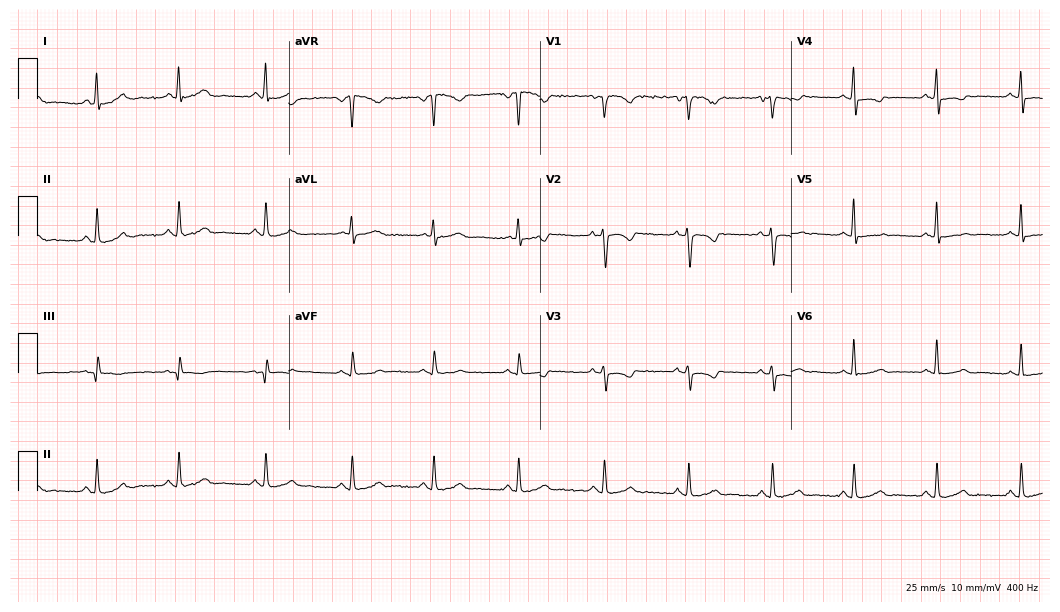
ECG (10.2-second recording at 400 Hz) — a woman, 46 years old. Labelled as a normal ECG.